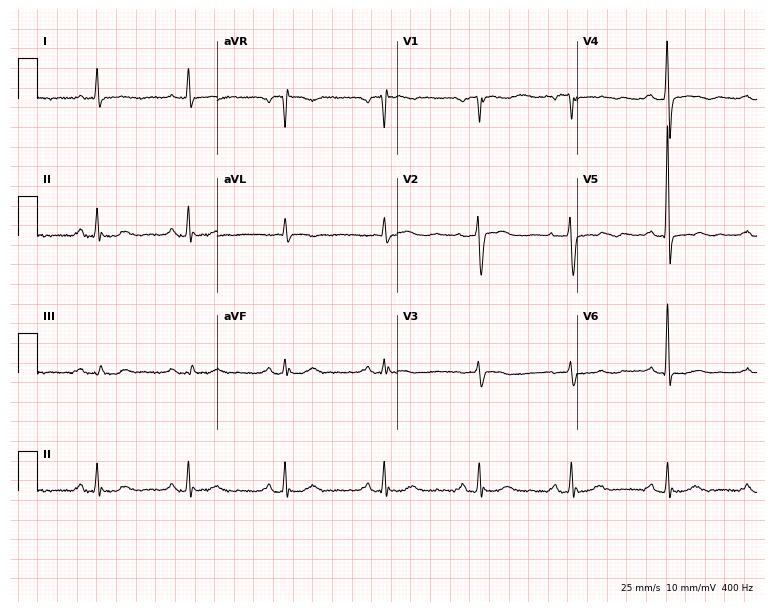
Standard 12-lead ECG recorded from a man, 68 years old (7.3-second recording at 400 Hz). None of these six findings is recorded: first-degree AV block, right bundle branch block (RBBB), left bundle branch block (LBBB), sinus bradycardia, atrial fibrillation (AF), sinus tachycardia.